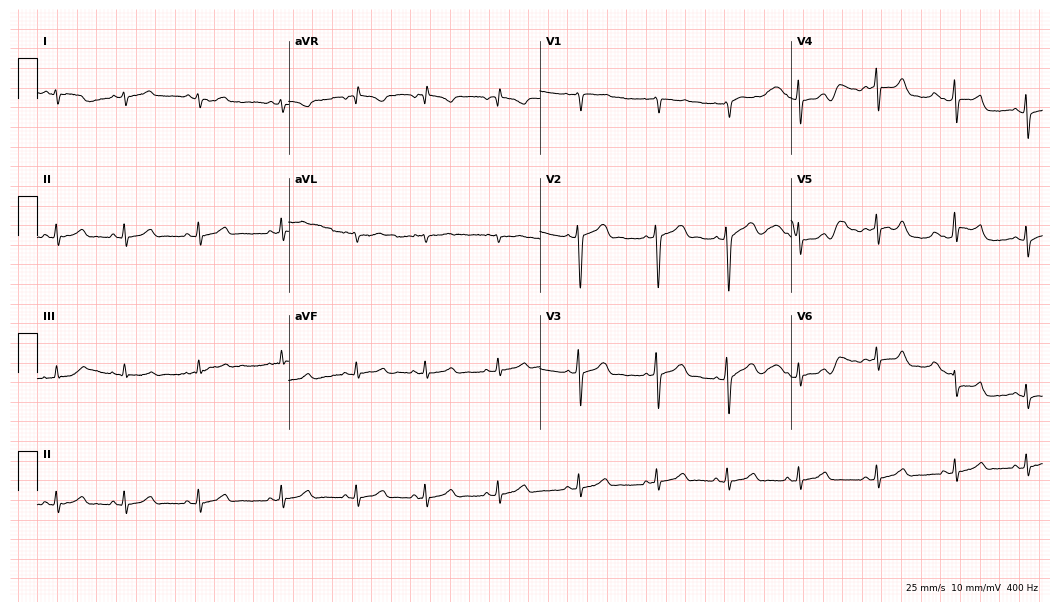
12-lead ECG from a 20-year-old woman. No first-degree AV block, right bundle branch block, left bundle branch block, sinus bradycardia, atrial fibrillation or sinus tachycardia recorded for this tracing. Findings outside these six are not listed.